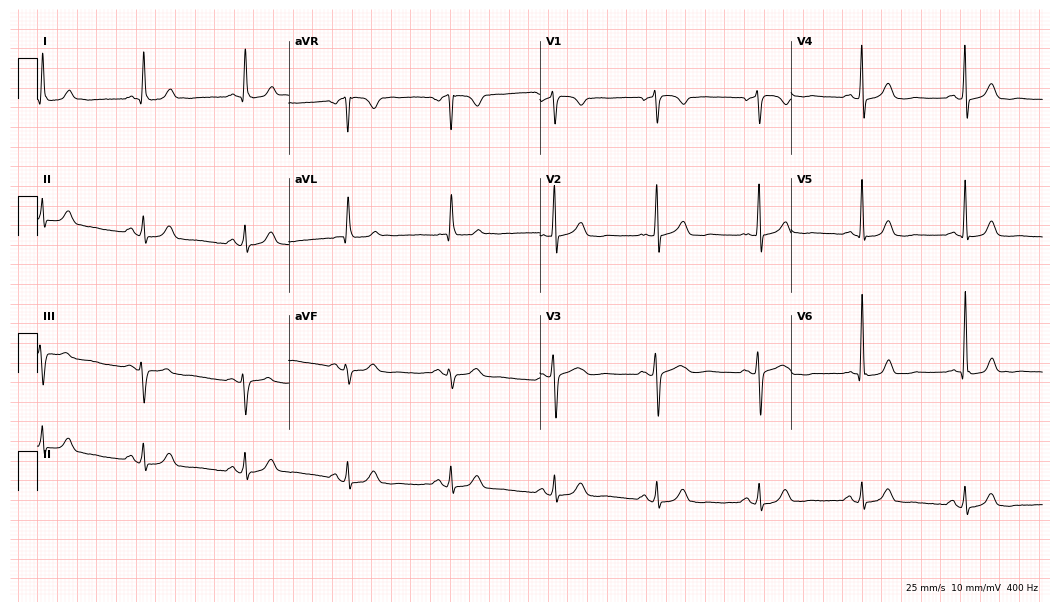
Electrocardiogram (10.2-second recording at 400 Hz), a female patient, 67 years old. Overall reading on record: normal ECG.